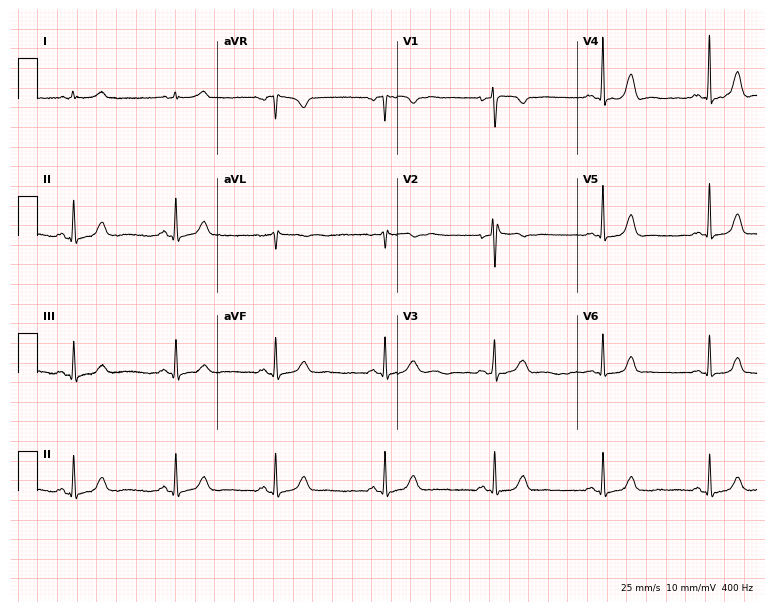
Electrocardiogram, a 35-year-old female. Overall reading on record: normal ECG.